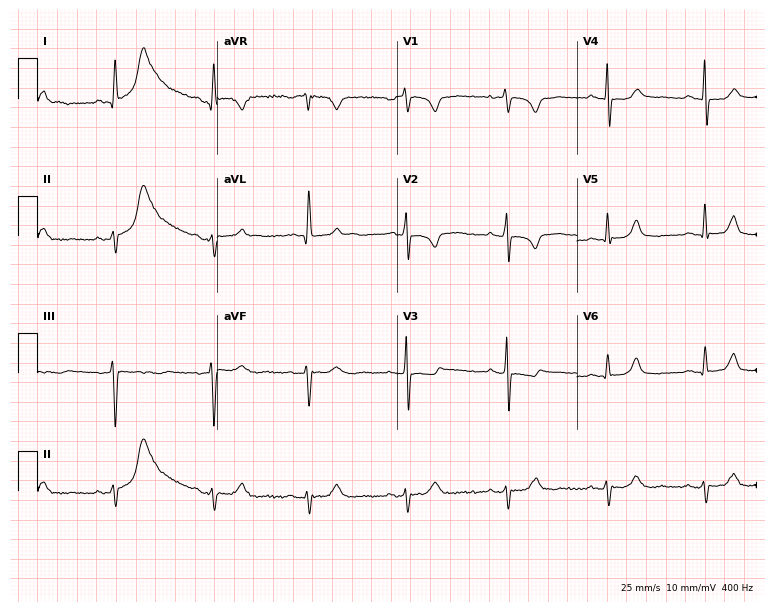
Electrocardiogram, a female patient, 67 years old. Of the six screened findings (first-degree AV block, right bundle branch block, left bundle branch block, sinus bradycardia, atrial fibrillation, sinus tachycardia), none is recorded. Findings outside these six are not listed.